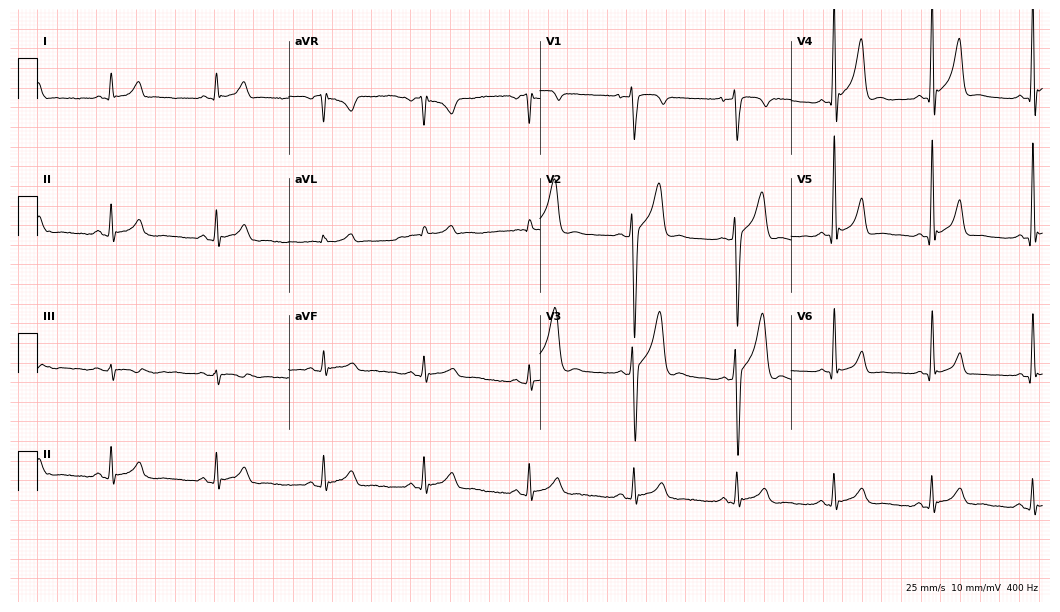
Standard 12-lead ECG recorded from a 27-year-old man. None of these six findings is recorded: first-degree AV block, right bundle branch block (RBBB), left bundle branch block (LBBB), sinus bradycardia, atrial fibrillation (AF), sinus tachycardia.